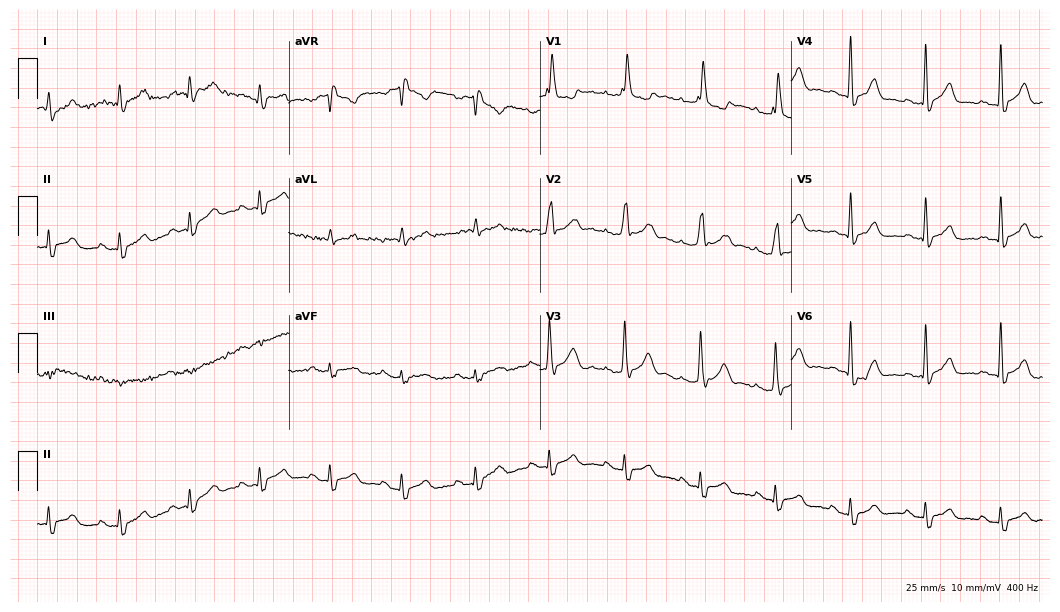
Standard 12-lead ECG recorded from a 44-year-old man (10.2-second recording at 400 Hz). The tracing shows right bundle branch block.